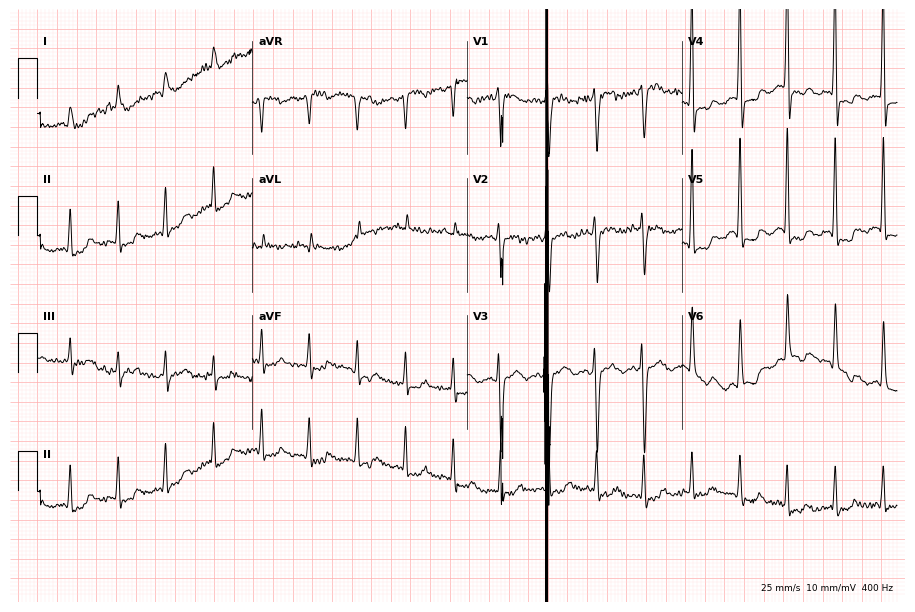
Resting 12-lead electrocardiogram. Patient: a 72-year-old female. None of these six findings is recorded: first-degree AV block, right bundle branch block (RBBB), left bundle branch block (LBBB), sinus bradycardia, atrial fibrillation (AF), sinus tachycardia.